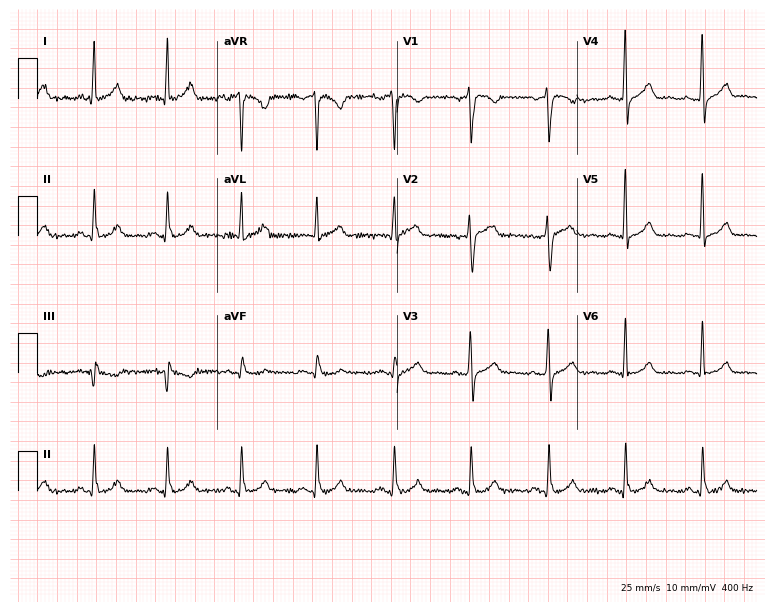
Electrocardiogram, a 43-year-old woman. Overall reading on record: normal ECG.